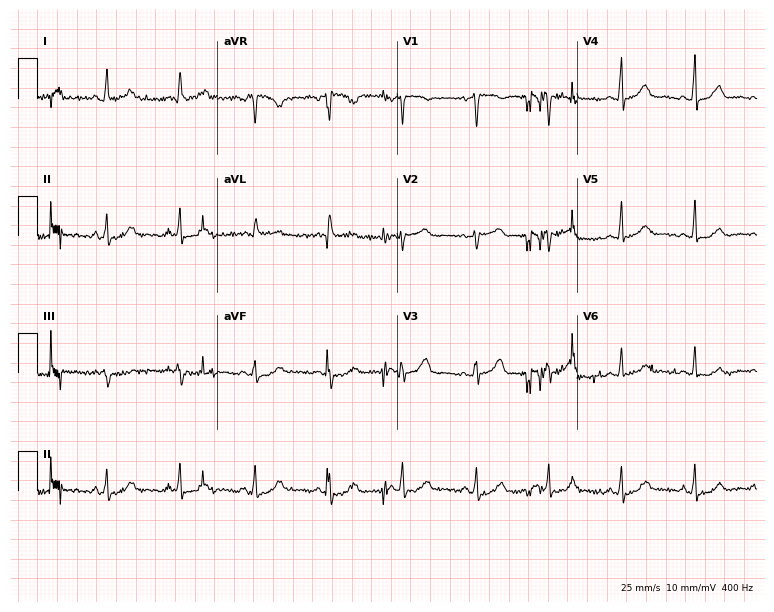
Standard 12-lead ECG recorded from a 45-year-old woman. Read as a normal ECG.